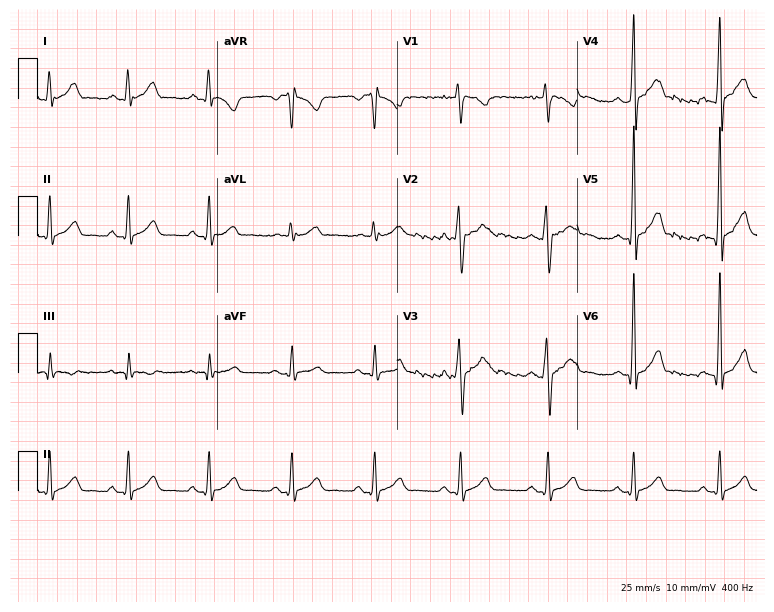
Electrocardiogram, a man, 22 years old. Of the six screened findings (first-degree AV block, right bundle branch block, left bundle branch block, sinus bradycardia, atrial fibrillation, sinus tachycardia), none is recorded. Findings outside these six are not listed.